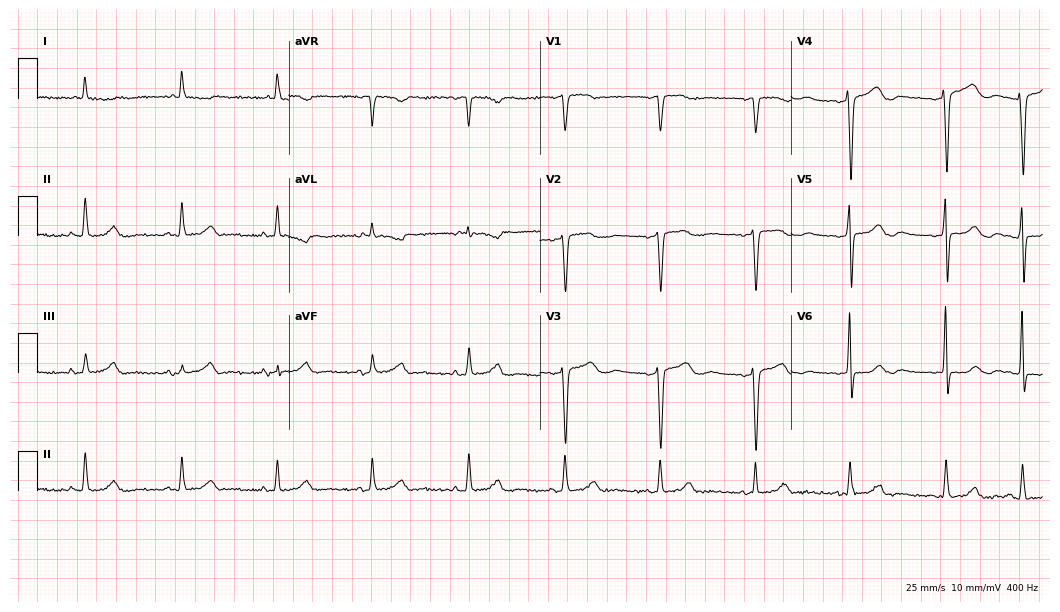
Resting 12-lead electrocardiogram (10.2-second recording at 400 Hz). Patient: a female, 74 years old. None of these six findings is recorded: first-degree AV block, right bundle branch block (RBBB), left bundle branch block (LBBB), sinus bradycardia, atrial fibrillation (AF), sinus tachycardia. Only these six findings were labelled.